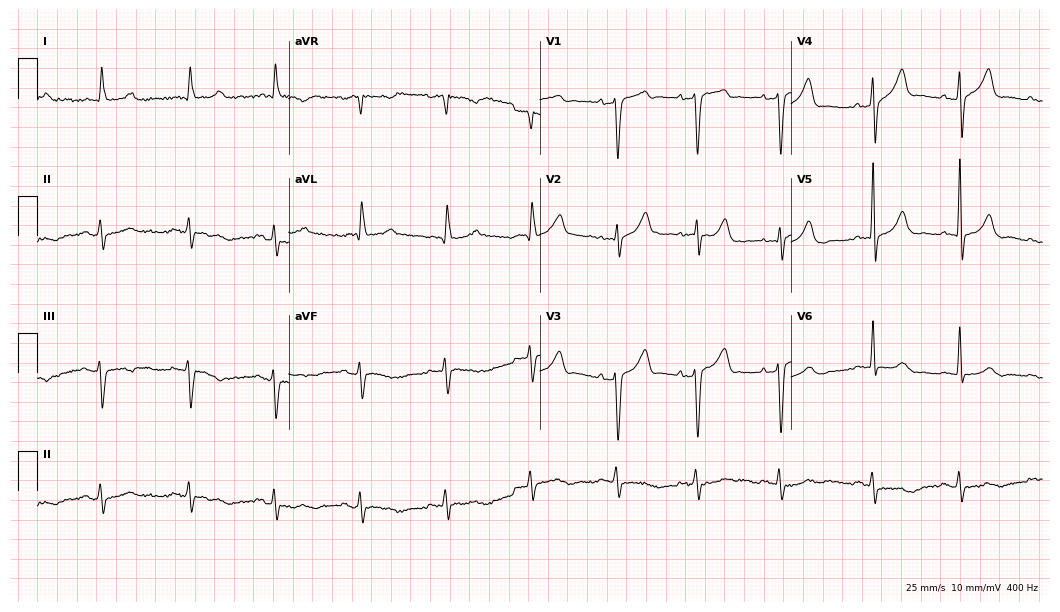
Resting 12-lead electrocardiogram (10.2-second recording at 400 Hz). Patient: an 83-year-old man. None of these six findings is recorded: first-degree AV block, right bundle branch block, left bundle branch block, sinus bradycardia, atrial fibrillation, sinus tachycardia. Only these six findings were labelled.